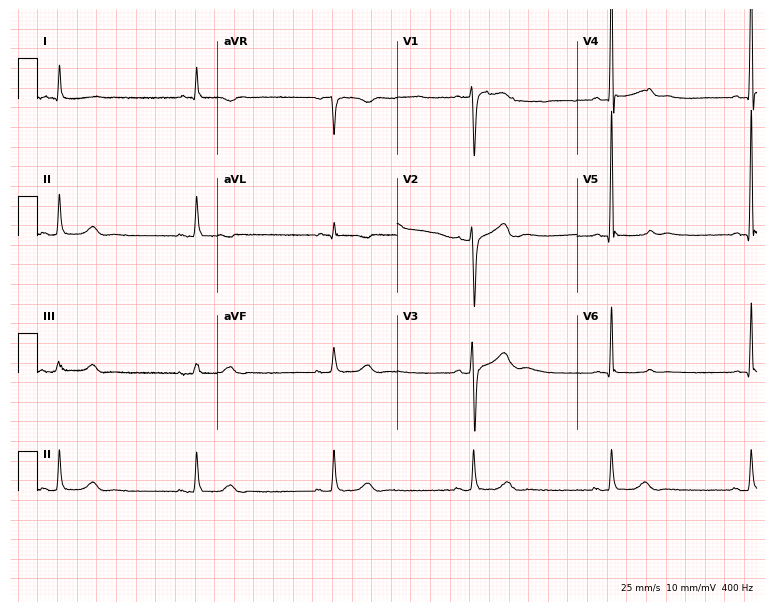
Resting 12-lead electrocardiogram. Patient: a 61-year-old male. The tracing shows sinus bradycardia (a sinus rate of 50 beats per minute or less).